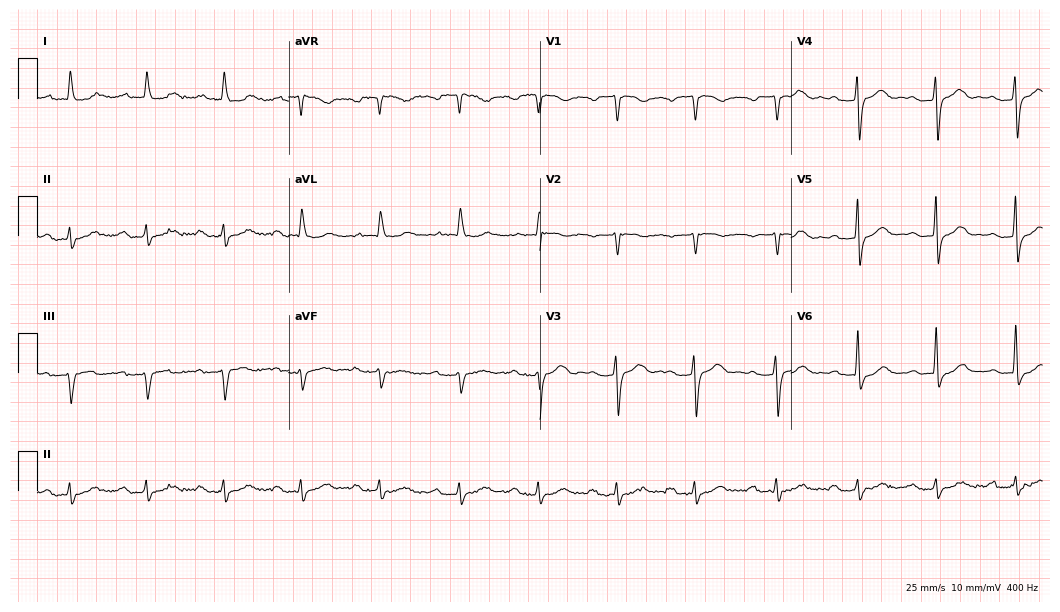
12-lead ECG from a 74-year-old male patient. Findings include first-degree AV block.